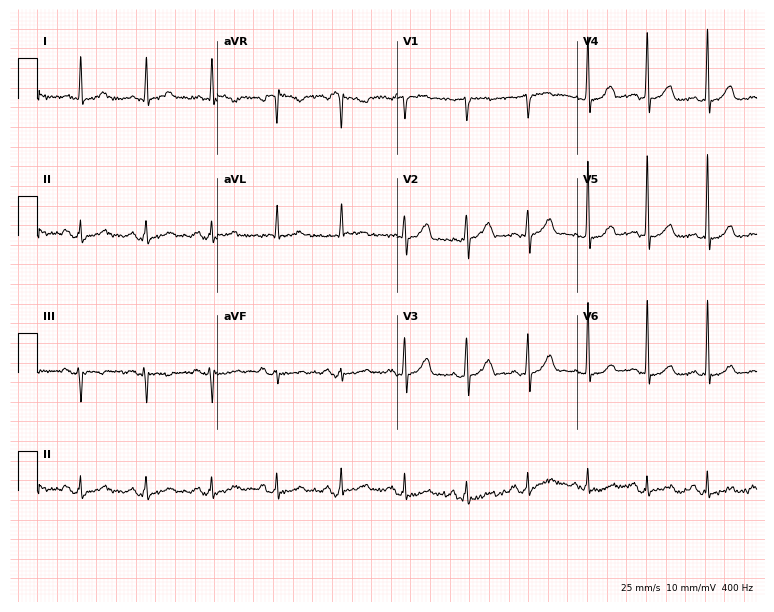
Electrocardiogram (7.3-second recording at 400 Hz), a 63-year-old man. Of the six screened findings (first-degree AV block, right bundle branch block, left bundle branch block, sinus bradycardia, atrial fibrillation, sinus tachycardia), none is recorded. Only these six findings were labelled.